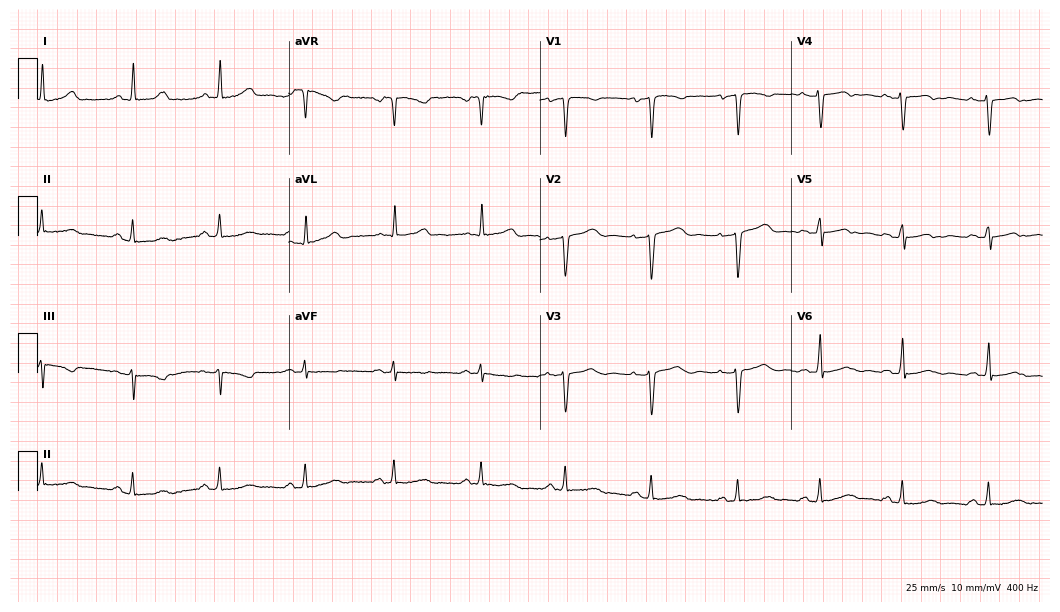
12-lead ECG (10.2-second recording at 400 Hz) from a female patient, 59 years old. Screened for six findings — first-degree AV block, right bundle branch block (RBBB), left bundle branch block (LBBB), sinus bradycardia, atrial fibrillation (AF), sinus tachycardia — none is recorded.